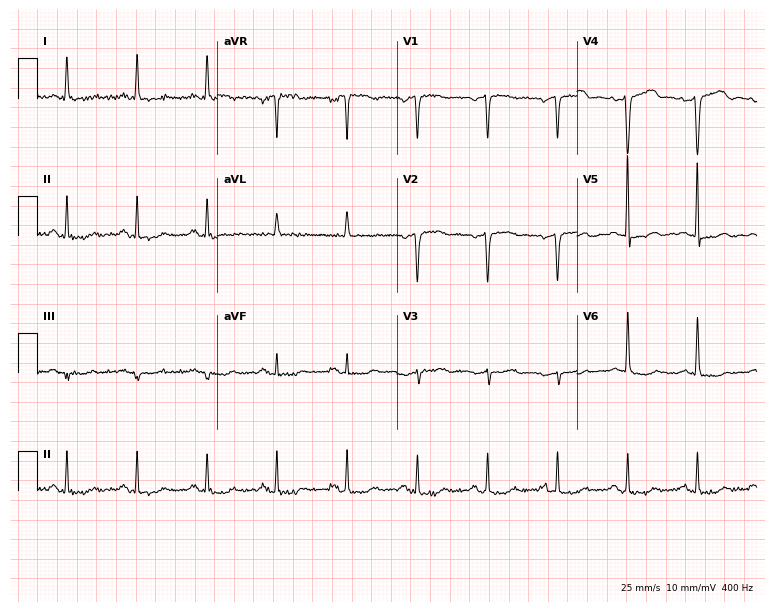
Standard 12-lead ECG recorded from a 69-year-old female patient. None of these six findings is recorded: first-degree AV block, right bundle branch block, left bundle branch block, sinus bradycardia, atrial fibrillation, sinus tachycardia. Findings outside these six are not listed.